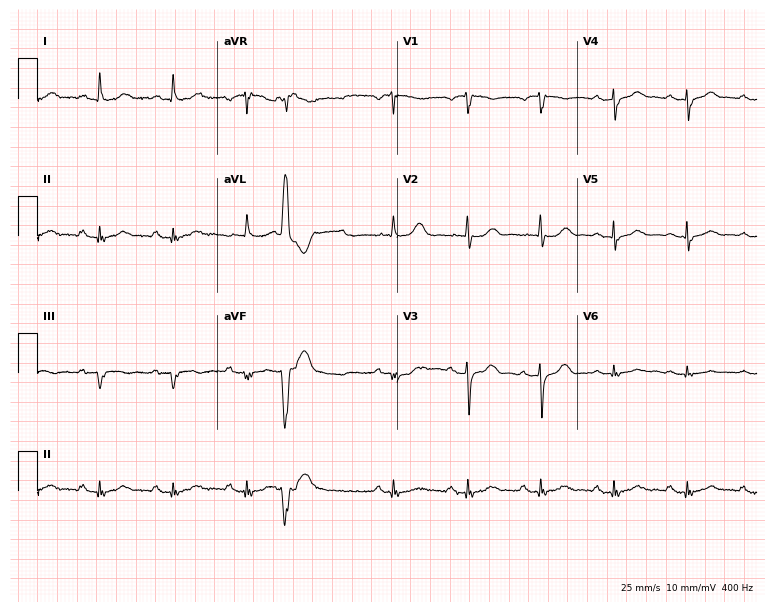
12-lead ECG from an 83-year-old female patient. Screened for six findings — first-degree AV block, right bundle branch block (RBBB), left bundle branch block (LBBB), sinus bradycardia, atrial fibrillation (AF), sinus tachycardia — none is recorded.